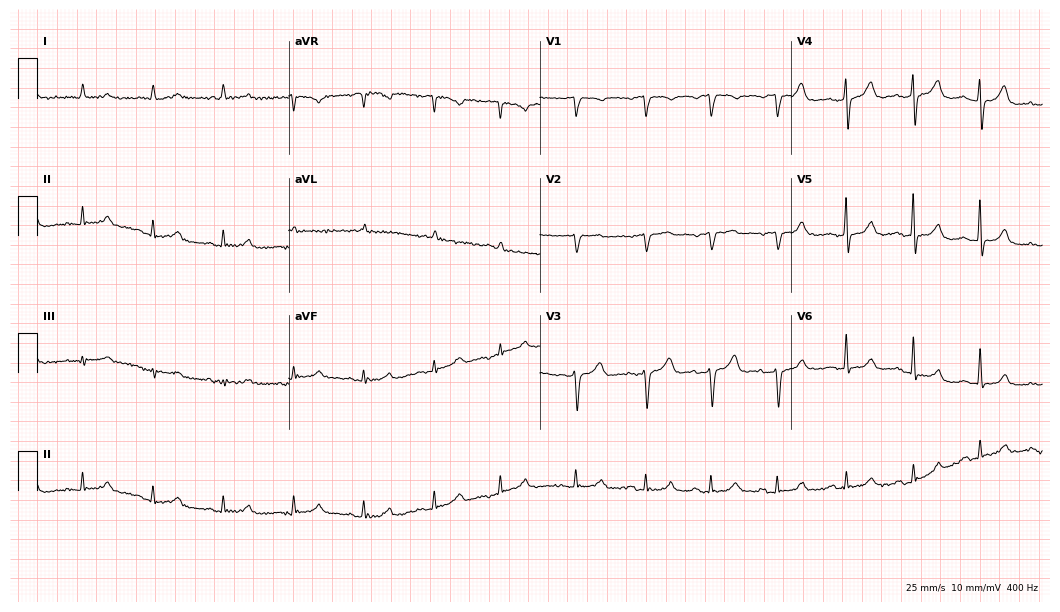
Standard 12-lead ECG recorded from a 79-year-old male. The tracing shows atrial fibrillation (AF).